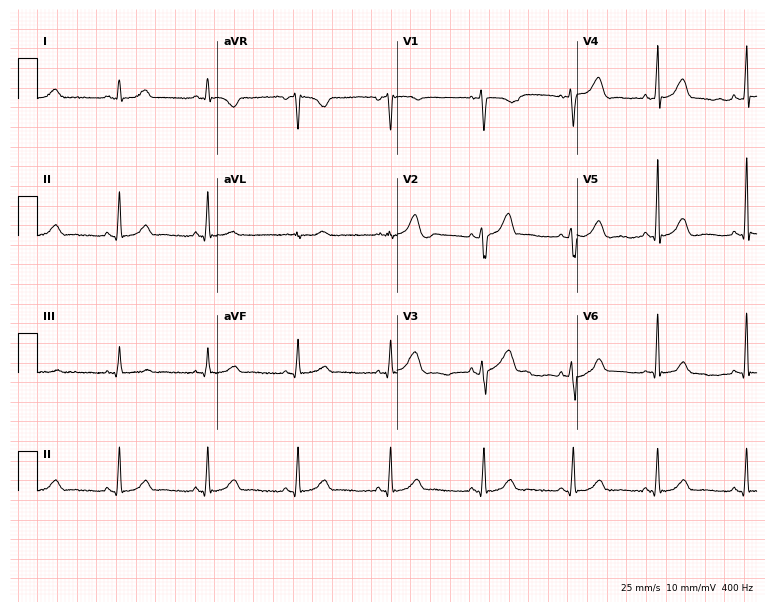
Standard 12-lead ECG recorded from a 39-year-old female patient. None of these six findings is recorded: first-degree AV block, right bundle branch block, left bundle branch block, sinus bradycardia, atrial fibrillation, sinus tachycardia.